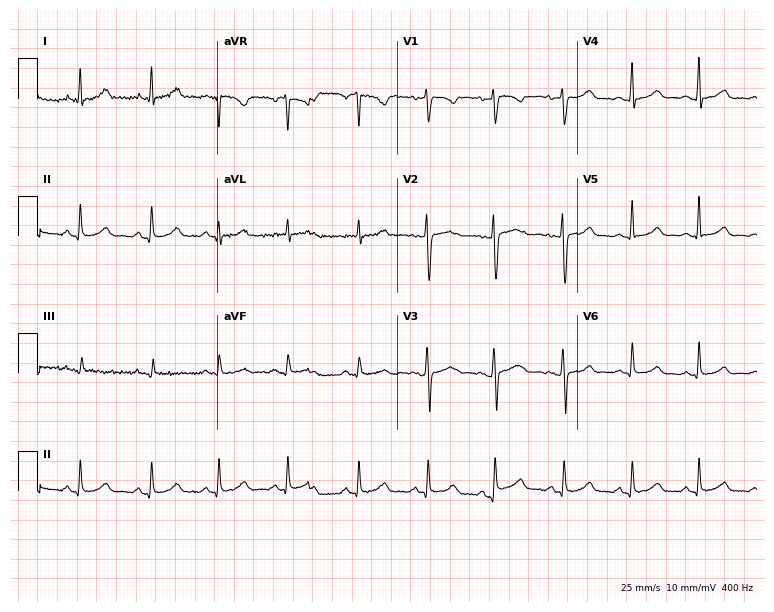
Electrocardiogram (7.3-second recording at 400 Hz), a 32-year-old female. Overall reading on record: normal ECG.